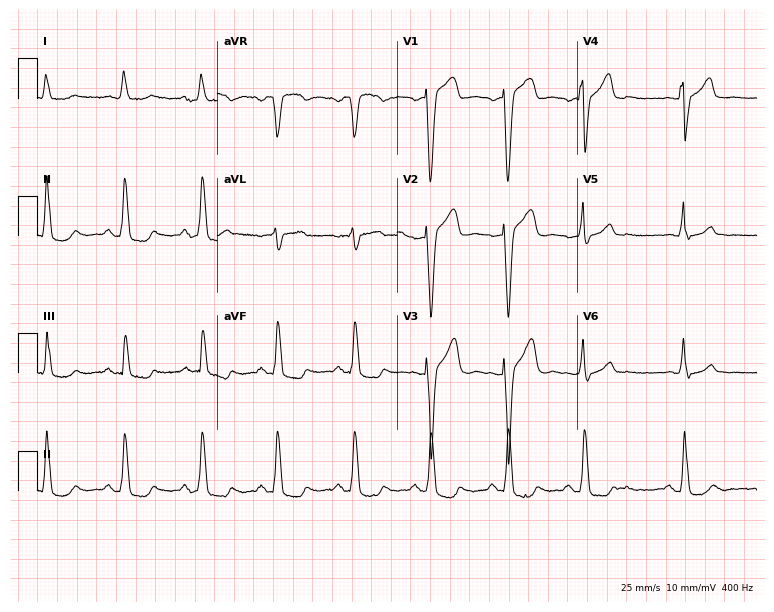
12-lead ECG (7.3-second recording at 400 Hz) from a man, 81 years old. Findings include left bundle branch block.